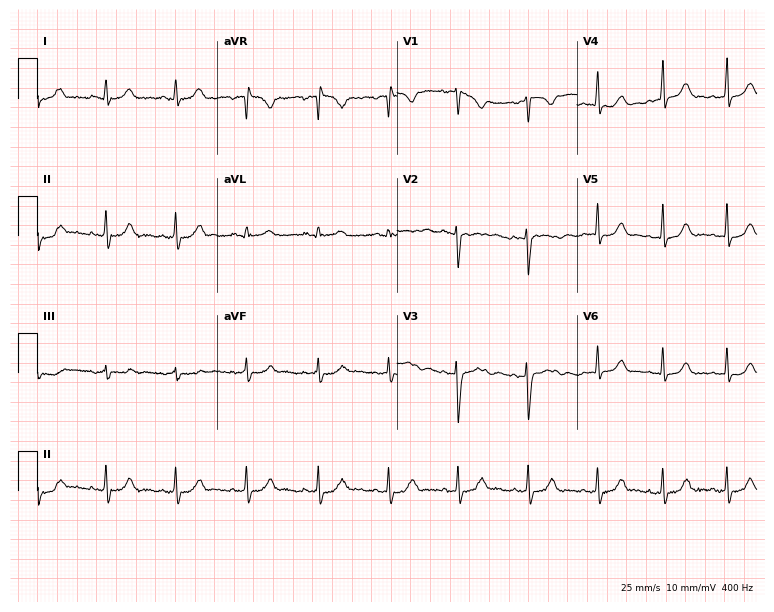
12-lead ECG from a female patient, 18 years old. No first-degree AV block, right bundle branch block (RBBB), left bundle branch block (LBBB), sinus bradycardia, atrial fibrillation (AF) or sinus tachycardia recorded for this tracing. Only these six findings were labelled.